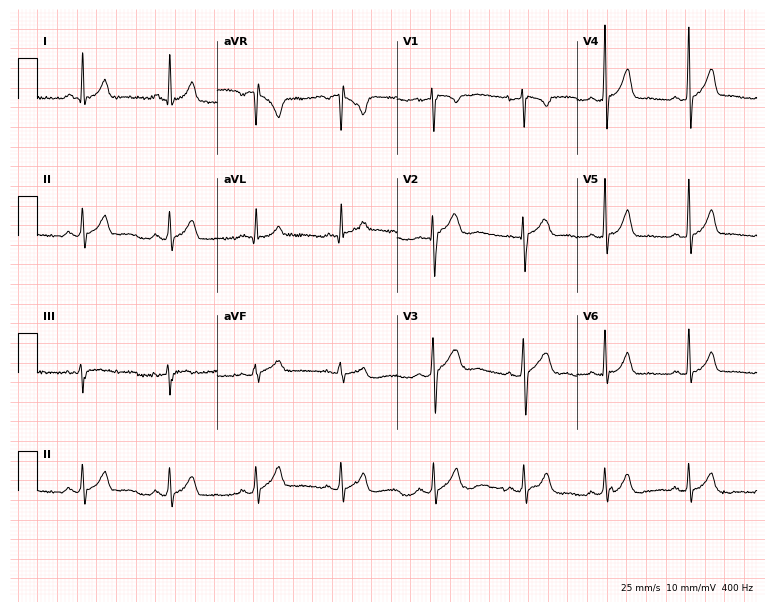
12-lead ECG from a man, 18 years old. Screened for six findings — first-degree AV block, right bundle branch block, left bundle branch block, sinus bradycardia, atrial fibrillation, sinus tachycardia — none is recorded. Other findings, if any, are not listed.